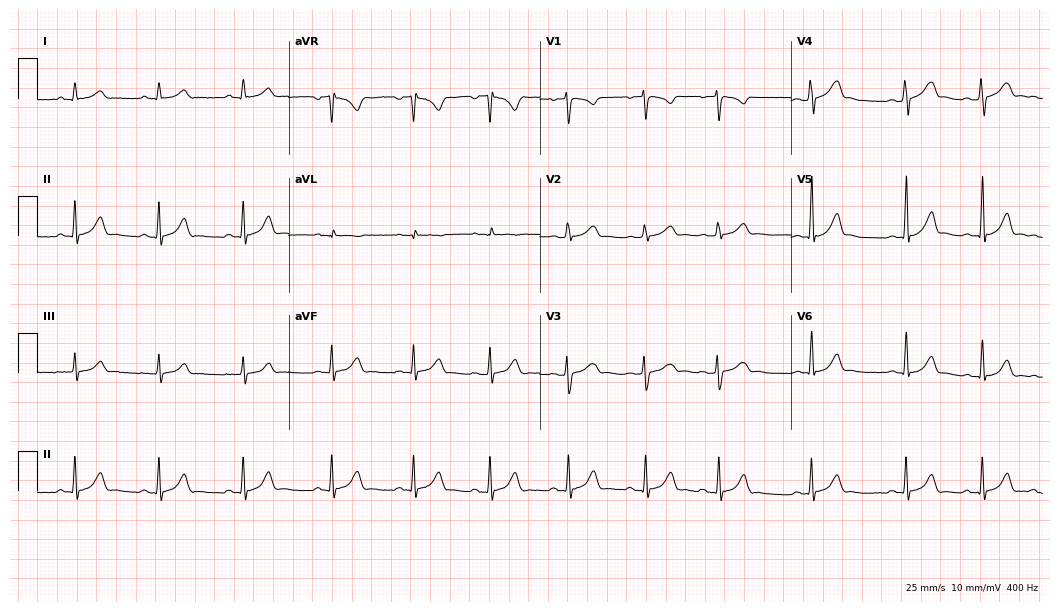
12-lead ECG (10.2-second recording at 400 Hz) from a female, 19 years old. Labelled as a normal ECG.